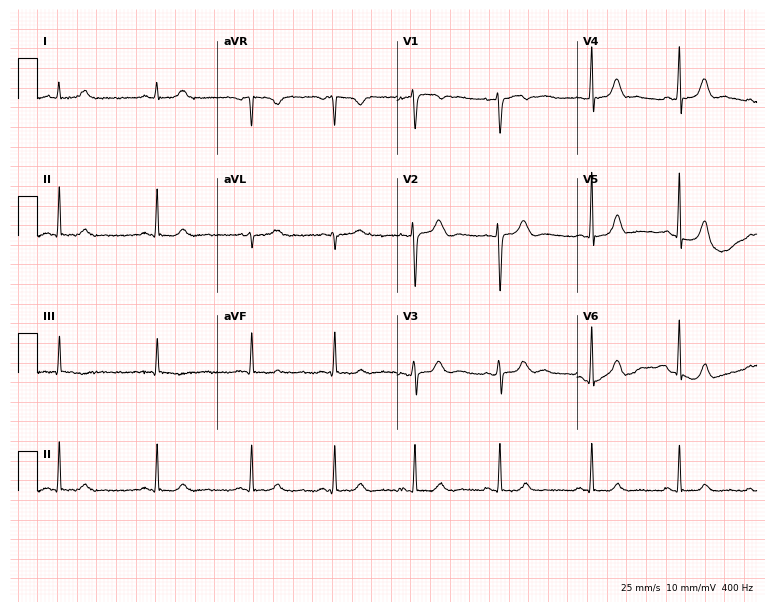
12-lead ECG (7.3-second recording at 400 Hz) from a woman, 32 years old. Labelled as a normal ECG.